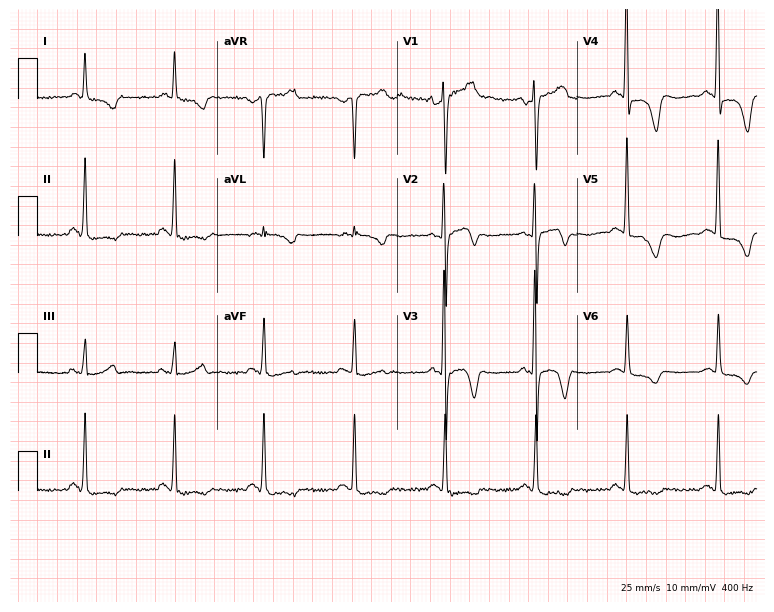
Standard 12-lead ECG recorded from a man, 58 years old. None of these six findings is recorded: first-degree AV block, right bundle branch block (RBBB), left bundle branch block (LBBB), sinus bradycardia, atrial fibrillation (AF), sinus tachycardia.